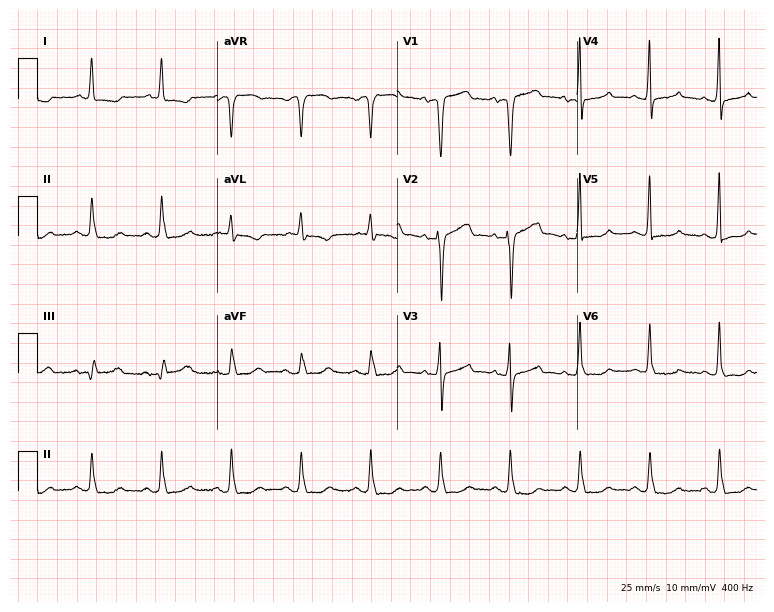
ECG (7.3-second recording at 400 Hz) — an 84-year-old female patient. Screened for six findings — first-degree AV block, right bundle branch block (RBBB), left bundle branch block (LBBB), sinus bradycardia, atrial fibrillation (AF), sinus tachycardia — none is recorded. Findings outside these six are not listed.